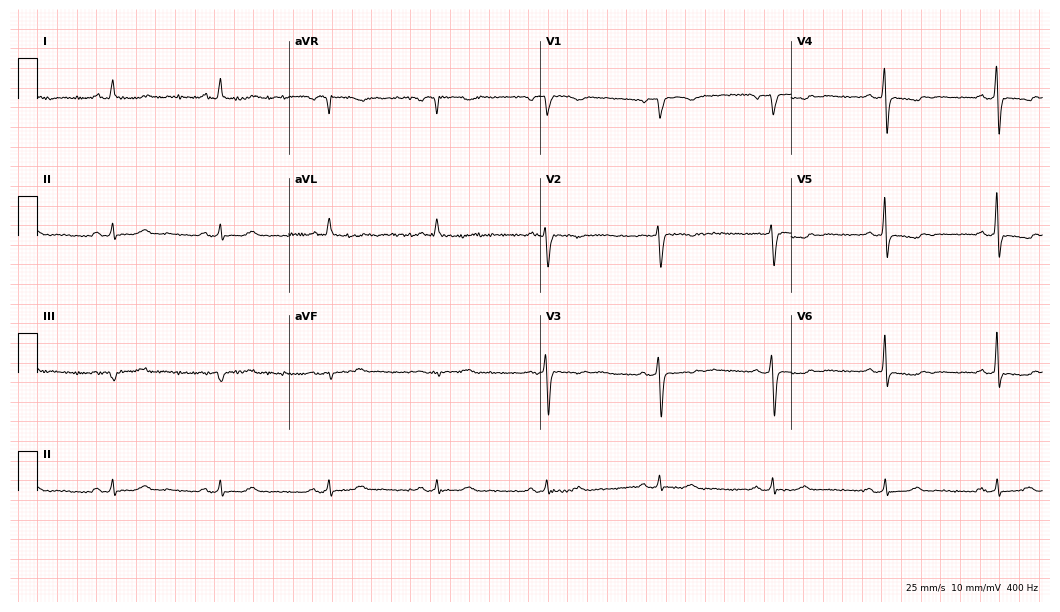
Standard 12-lead ECG recorded from a female patient, 68 years old. None of these six findings is recorded: first-degree AV block, right bundle branch block, left bundle branch block, sinus bradycardia, atrial fibrillation, sinus tachycardia. Findings outside these six are not listed.